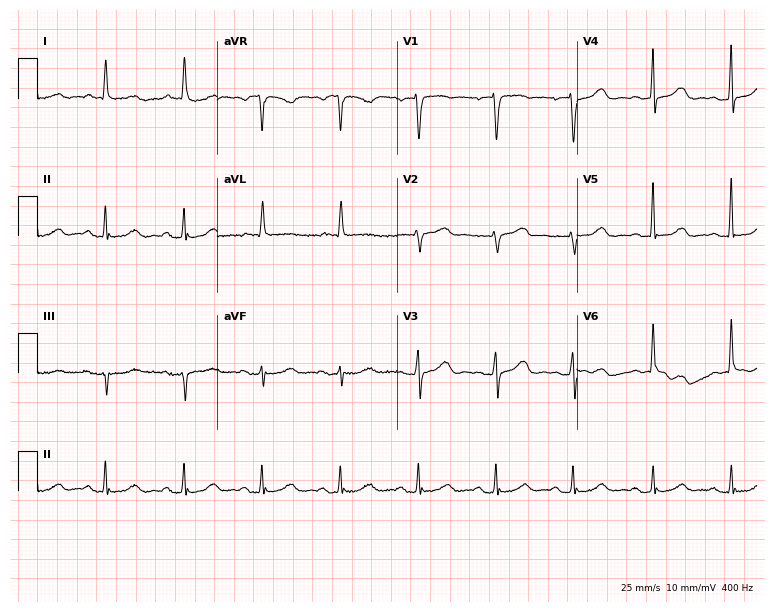
12-lead ECG from a female patient, 71 years old. No first-degree AV block, right bundle branch block, left bundle branch block, sinus bradycardia, atrial fibrillation or sinus tachycardia recorded for this tracing. Only these six findings were labelled.